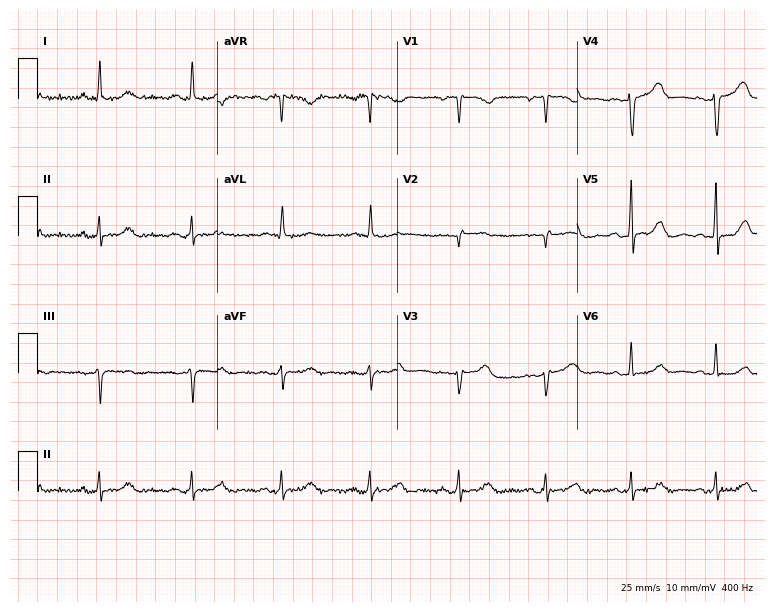
Standard 12-lead ECG recorded from a 53-year-old female patient. None of these six findings is recorded: first-degree AV block, right bundle branch block (RBBB), left bundle branch block (LBBB), sinus bradycardia, atrial fibrillation (AF), sinus tachycardia.